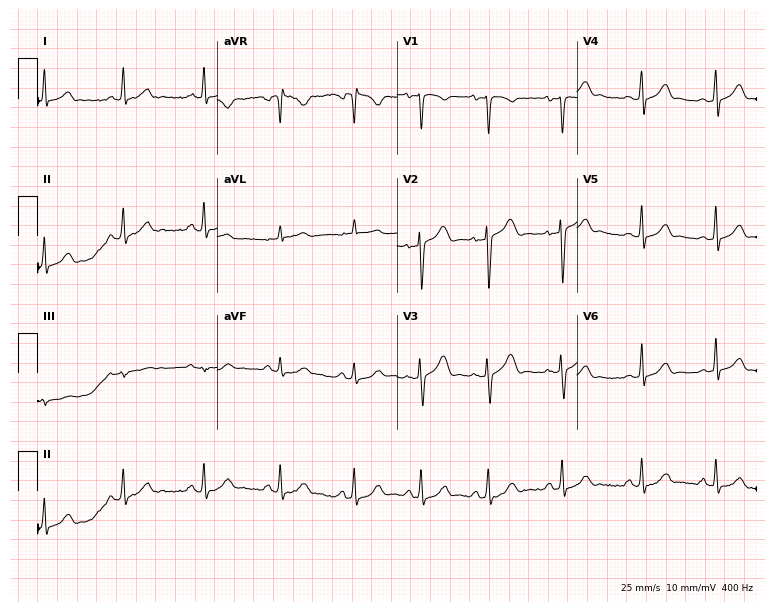
Standard 12-lead ECG recorded from a 21-year-old female (7.3-second recording at 400 Hz). None of these six findings is recorded: first-degree AV block, right bundle branch block, left bundle branch block, sinus bradycardia, atrial fibrillation, sinus tachycardia. Only these six findings were labelled.